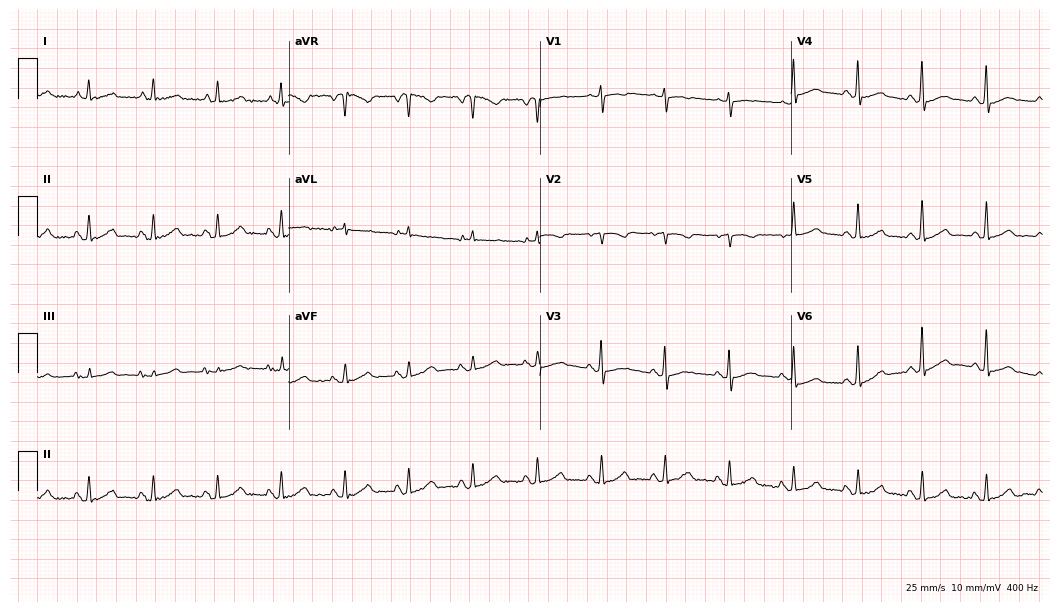
Electrocardiogram (10.2-second recording at 400 Hz), a 75-year-old woman. Overall reading on record: normal ECG.